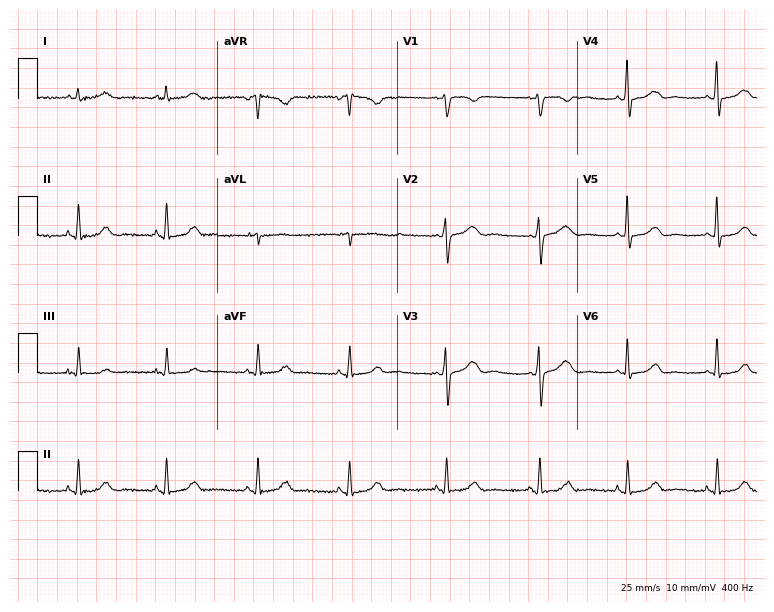
Electrocardiogram (7.3-second recording at 400 Hz), a woman, 43 years old. Overall reading on record: normal ECG.